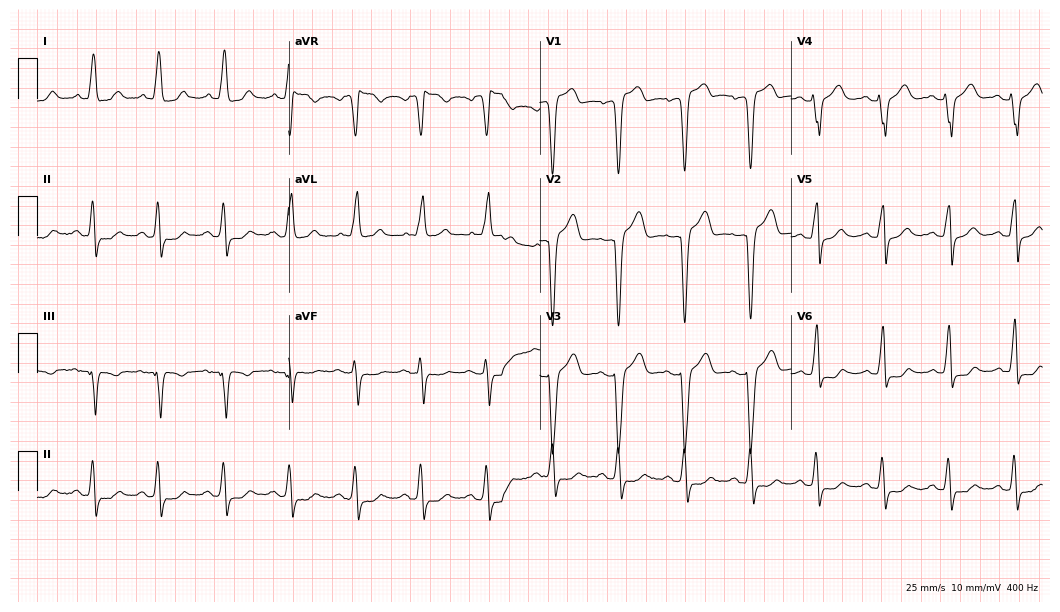
Standard 12-lead ECG recorded from an 82-year-old female patient. The tracing shows left bundle branch block.